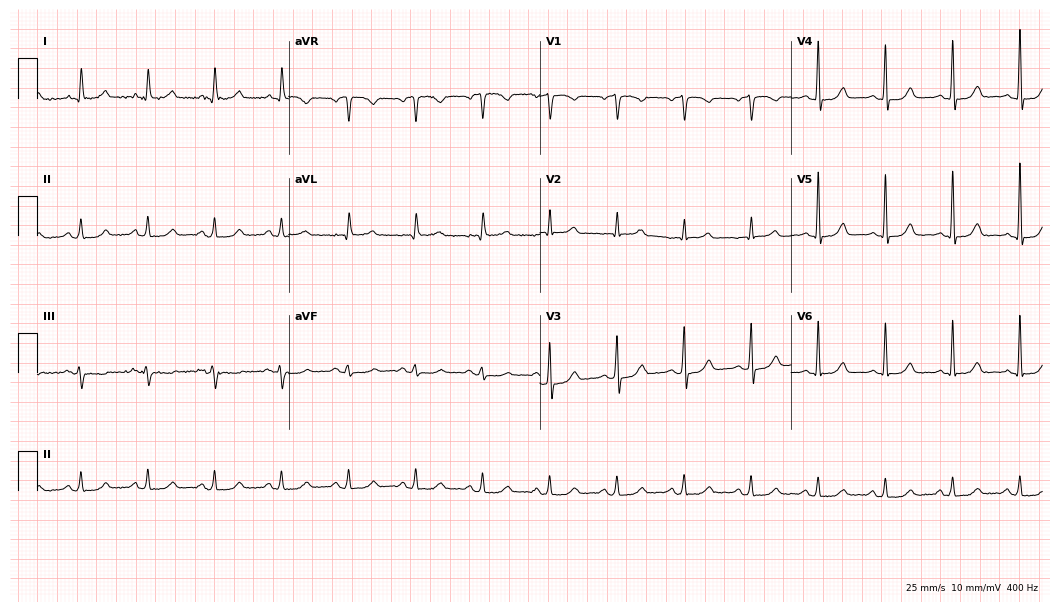
Resting 12-lead electrocardiogram. Patient: a female, 78 years old. None of these six findings is recorded: first-degree AV block, right bundle branch block, left bundle branch block, sinus bradycardia, atrial fibrillation, sinus tachycardia.